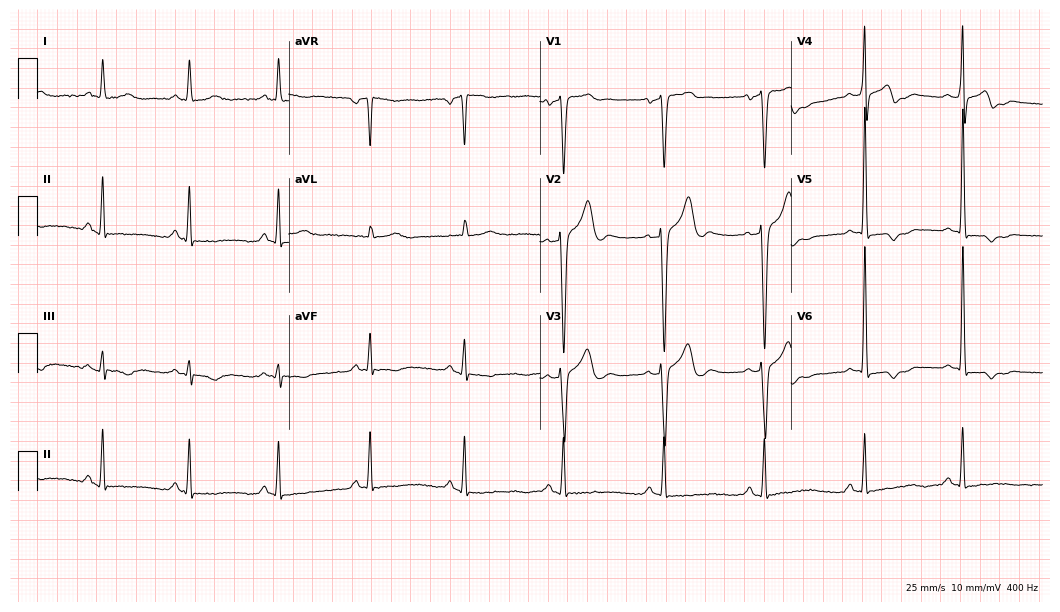
Electrocardiogram, a 65-year-old male. Of the six screened findings (first-degree AV block, right bundle branch block, left bundle branch block, sinus bradycardia, atrial fibrillation, sinus tachycardia), none is recorded. Findings outside these six are not listed.